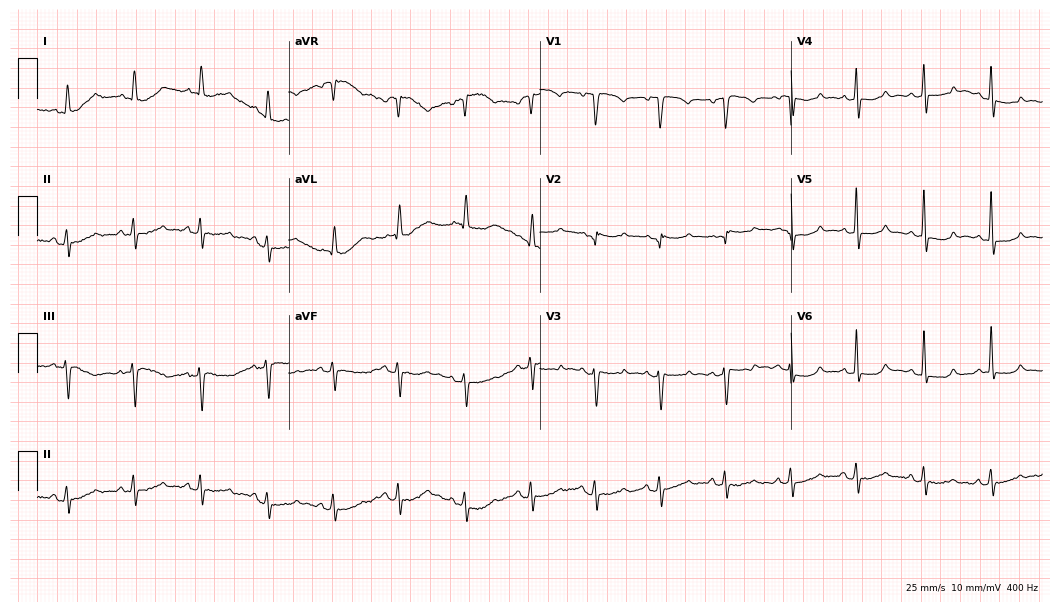
Standard 12-lead ECG recorded from an 81-year-old woman (10.2-second recording at 400 Hz). None of these six findings is recorded: first-degree AV block, right bundle branch block (RBBB), left bundle branch block (LBBB), sinus bradycardia, atrial fibrillation (AF), sinus tachycardia. Only these six findings were labelled.